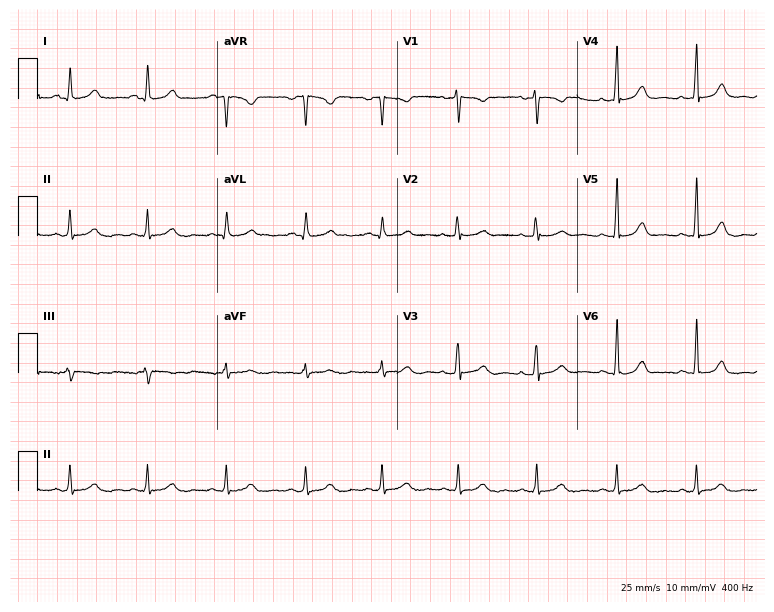
12-lead ECG from a female patient, 33 years old. Screened for six findings — first-degree AV block, right bundle branch block, left bundle branch block, sinus bradycardia, atrial fibrillation, sinus tachycardia — none is recorded. Findings outside these six are not listed.